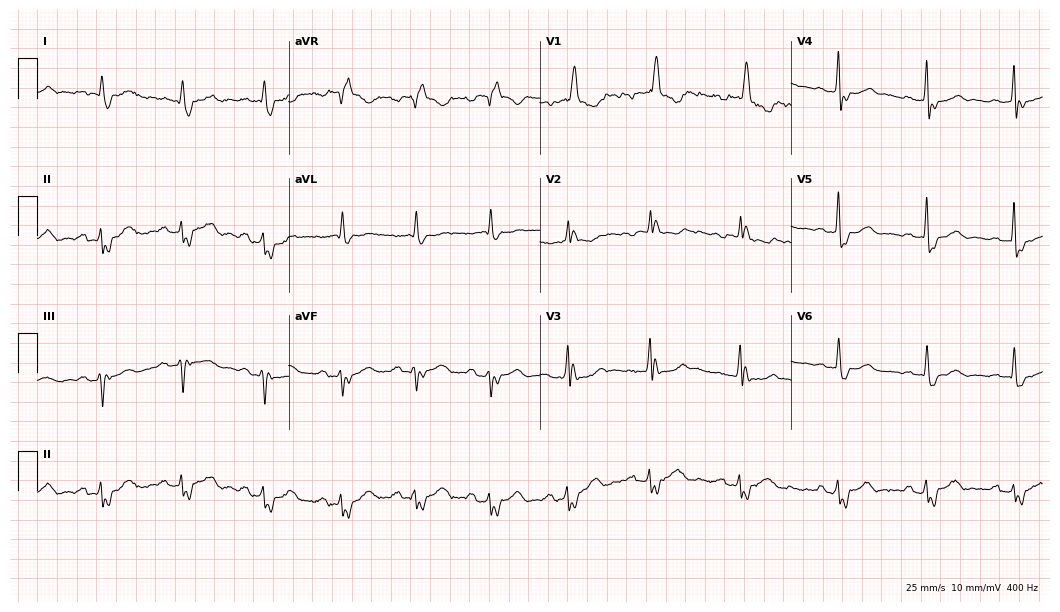
ECG (10.2-second recording at 400 Hz) — a 69-year-old male patient. Findings include right bundle branch block.